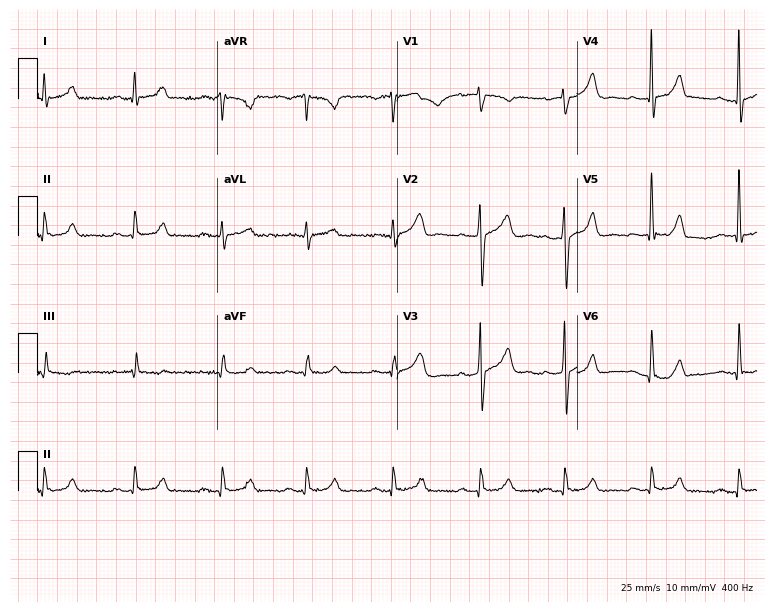
Electrocardiogram, a 33-year-old male. Of the six screened findings (first-degree AV block, right bundle branch block, left bundle branch block, sinus bradycardia, atrial fibrillation, sinus tachycardia), none is recorded.